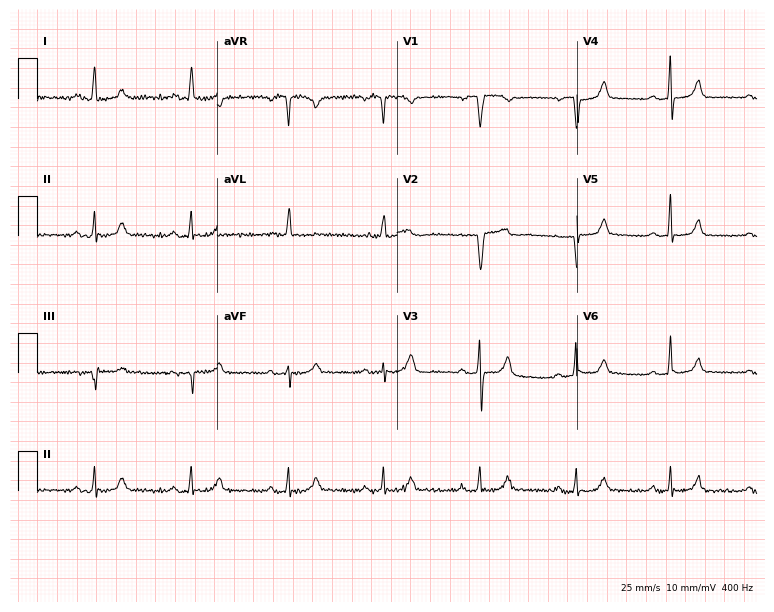
Resting 12-lead electrocardiogram (7.3-second recording at 400 Hz). Patient: an 81-year-old female. None of these six findings is recorded: first-degree AV block, right bundle branch block, left bundle branch block, sinus bradycardia, atrial fibrillation, sinus tachycardia. Only these six findings were labelled.